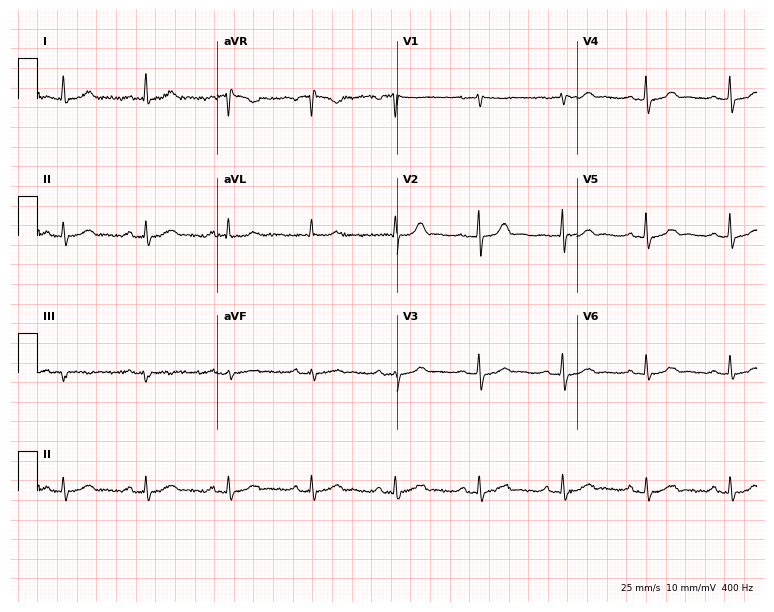
12-lead ECG from an 82-year-old male. Recorded interpretation: within normal limits.